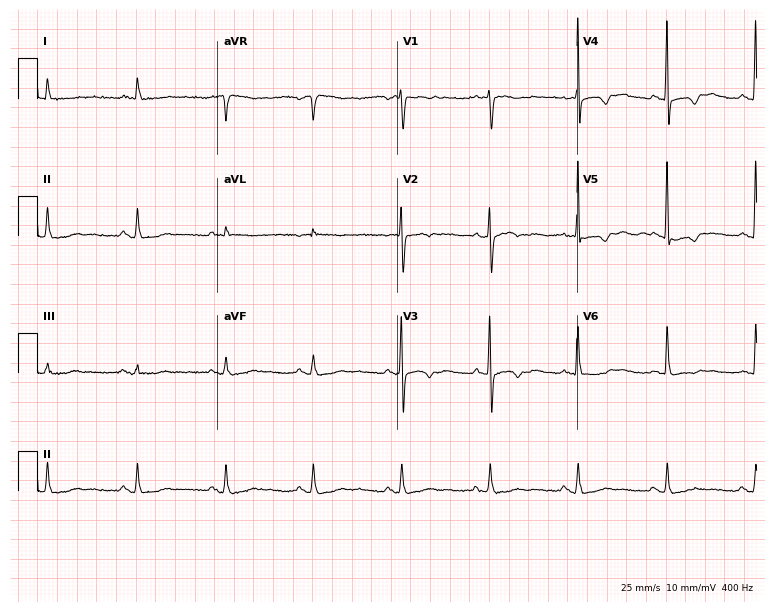
Standard 12-lead ECG recorded from a male patient, 75 years old (7.3-second recording at 400 Hz). None of these six findings is recorded: first-degree AV block, right bundle branch block (RBBB), left bundle branch block (LBBB), sinus bradycardia, atrial fibrillation (AF), sinus tachycardia.